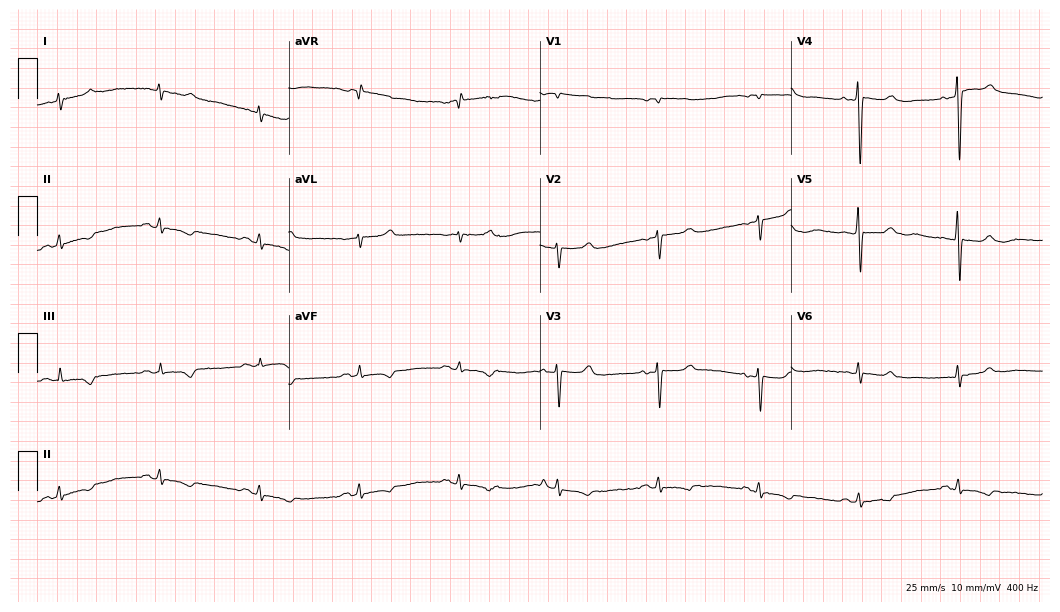
Resting 12-lead electrocardiogram. Patient: a male, 84 years old. None of these six findings is recorded: first-degree AV block, right bundle branch block, left bundle branch block, sinus bradycardia, atrial fibrillation, sinus tachycardia.